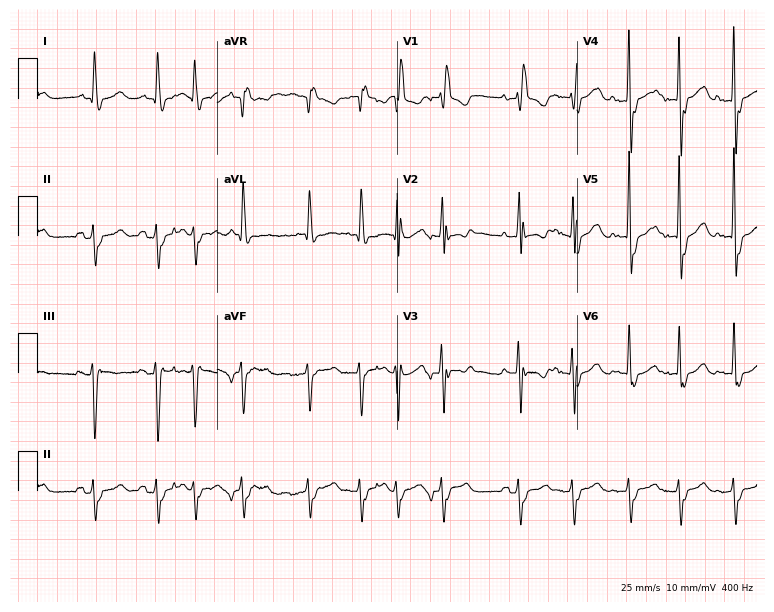
Electrocardiogram (7.3-second recording at 400 Hz), a male, 77 years old. Interpretation includes right bundle branch block (RBBB).